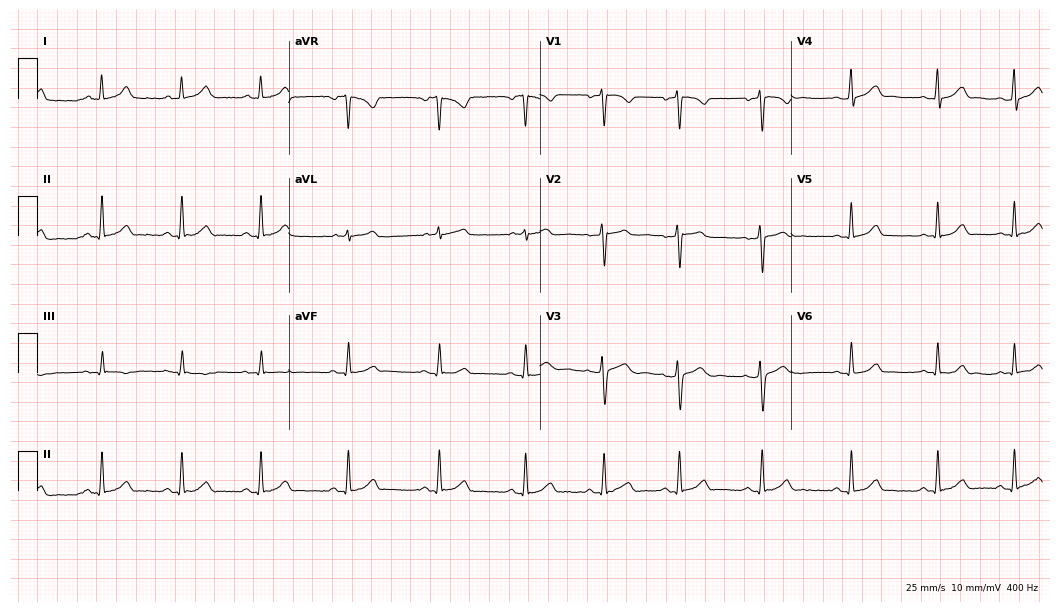
12-lead ECG from a 21-year-old female. Labelled as a normal ECG.